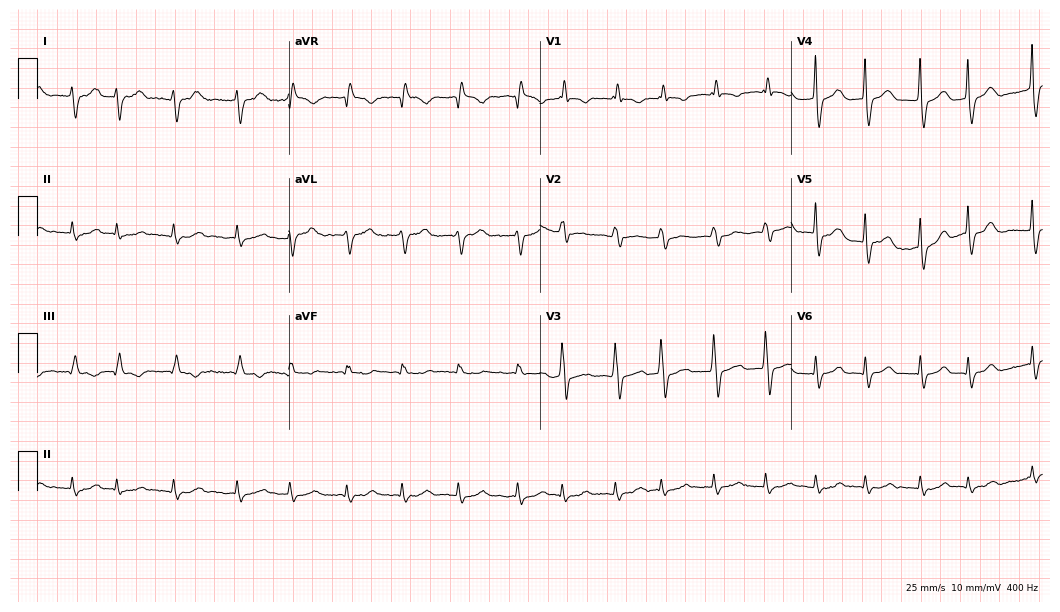
ECG (10.2-second recording at 400 Hz) — a 46-year-old female patient. Findings include atrial fibrillation (AF).